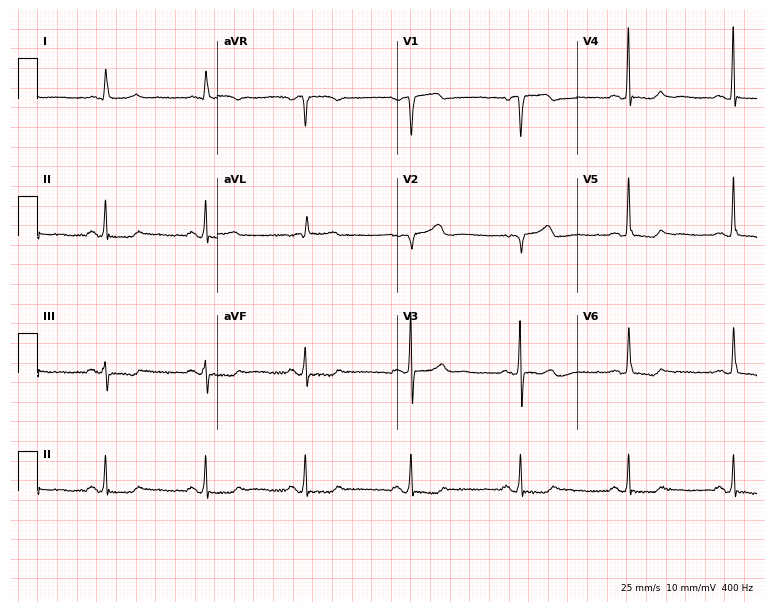
12-lead ECG (7.3-second recording at 400 Hz) from a 50-year-old woman. Screened for six findings — first-degree AV block, right bundle branch block (RBBB), left bundle branch block (LBBB), sinus bradycardia, atrial fibrillation (AF), sinus tachycardia — none is recorded.